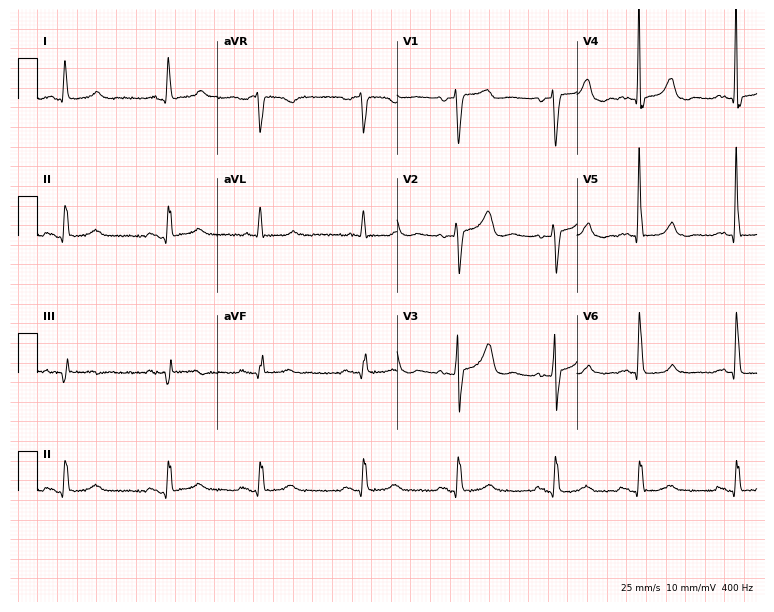
Standard 12-lead ECG recorded from a 68-year-old woman (7.3-second recording at 400 Hz). None of these six findings is recorded: first-degree AV block, right bundle branch block (RBBB), left bundle branch block (LBBB), sinus bradycardia, atrial fibrillation (AF), sinus tachycardia. Only these six findings were labelled.